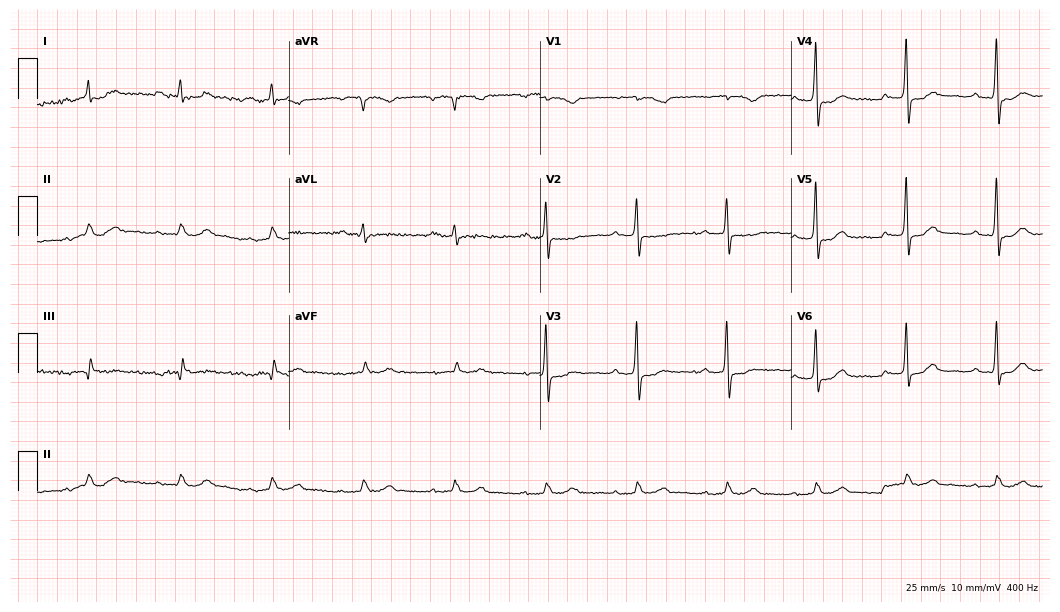
Resting 12-lead electrocardiogram. Patient: a 73-year-old man. The tracing shows first-degree AV block.